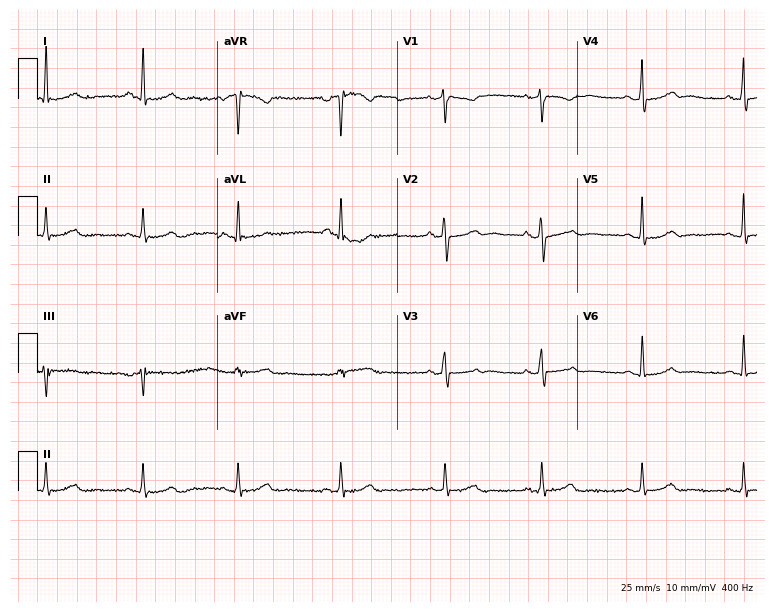
Standard 12-lead ECG recorded from a 31-year-old woman. None of these six findings is recorded: first-degree AV block, right bundle branch block (RBBB), left bundle branch block (LBBB), sinus bradycardia, atrial fibrillation (AF), sinus tachycardia.